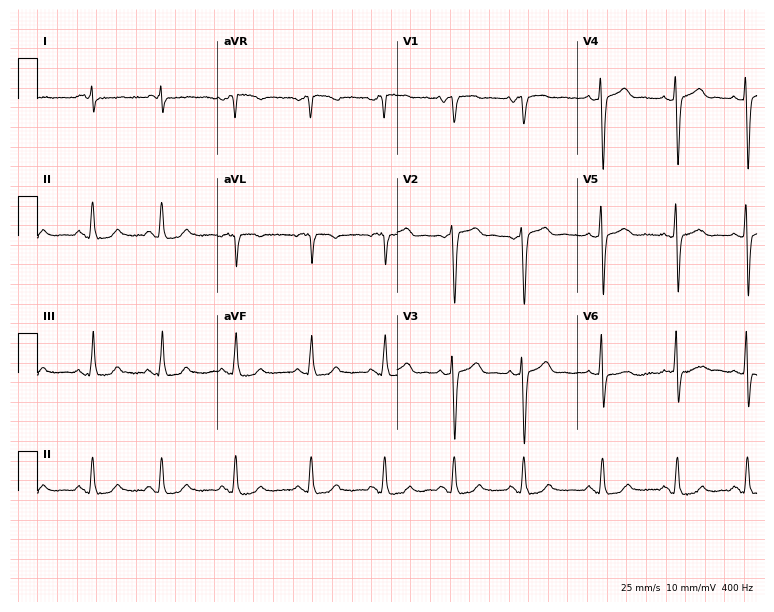
12-lead ECG from a female, 66 years old. Labelled as a normal ECG.